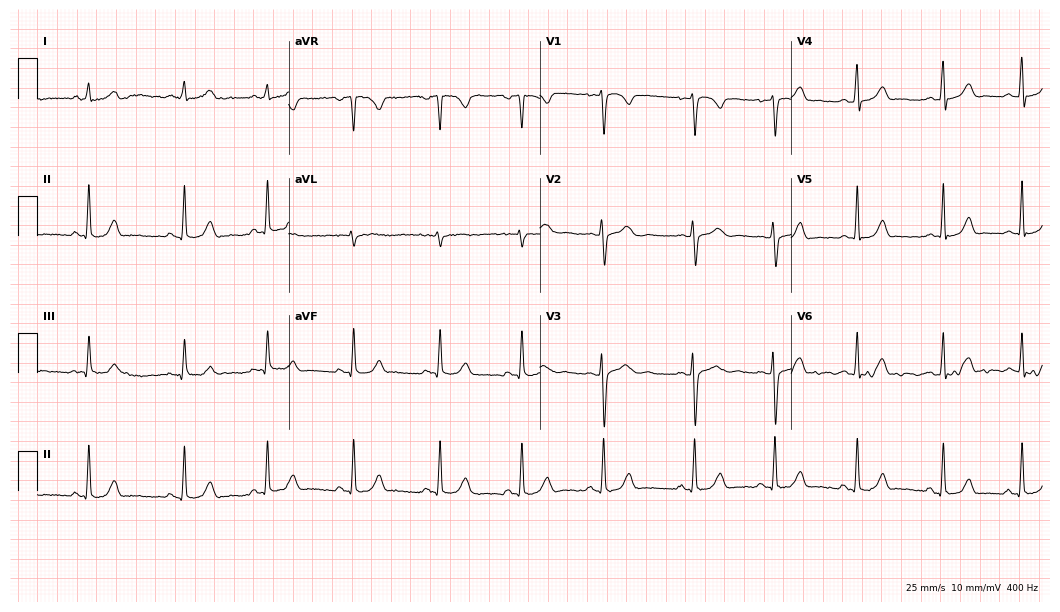
12-lead ECG (10.2-second recording at 400 Hz) from a woman, 29 years old. Labelled as a normal ECG.